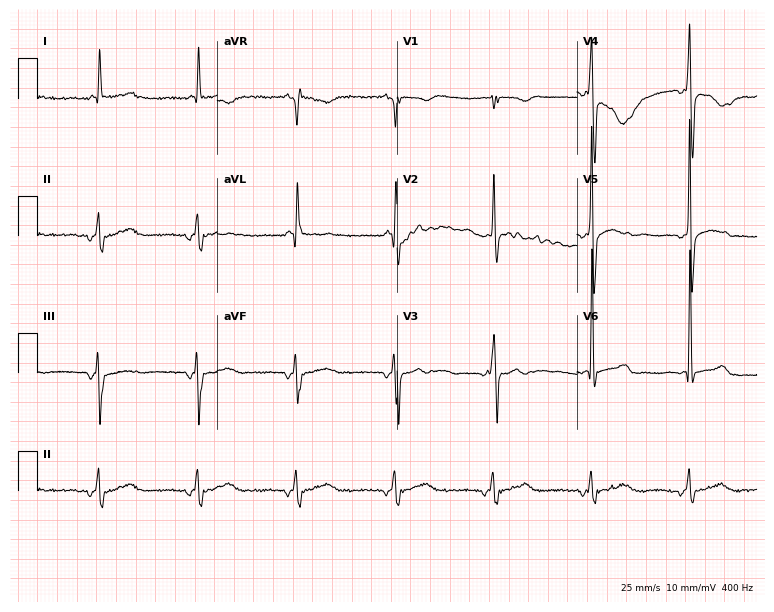
12-lead ECG from a 76-year-old man. No first-degree AV block, right bundle branch block (RBBB), left bundle branch block (LBBB), sinus bradycardia, atrial fibrillation (AF) or sinus tachycardia recorded for this tracing.